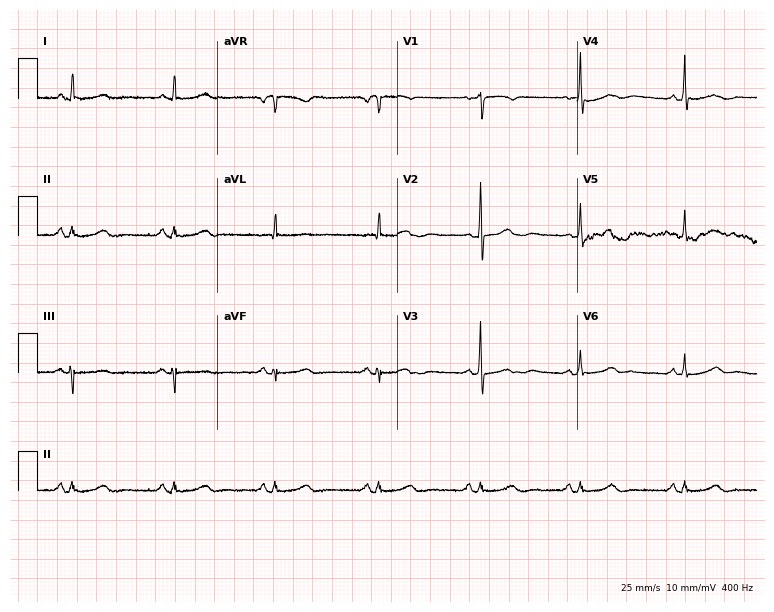
ECG — a male, 65 years old. Labelled as a normal ECG.